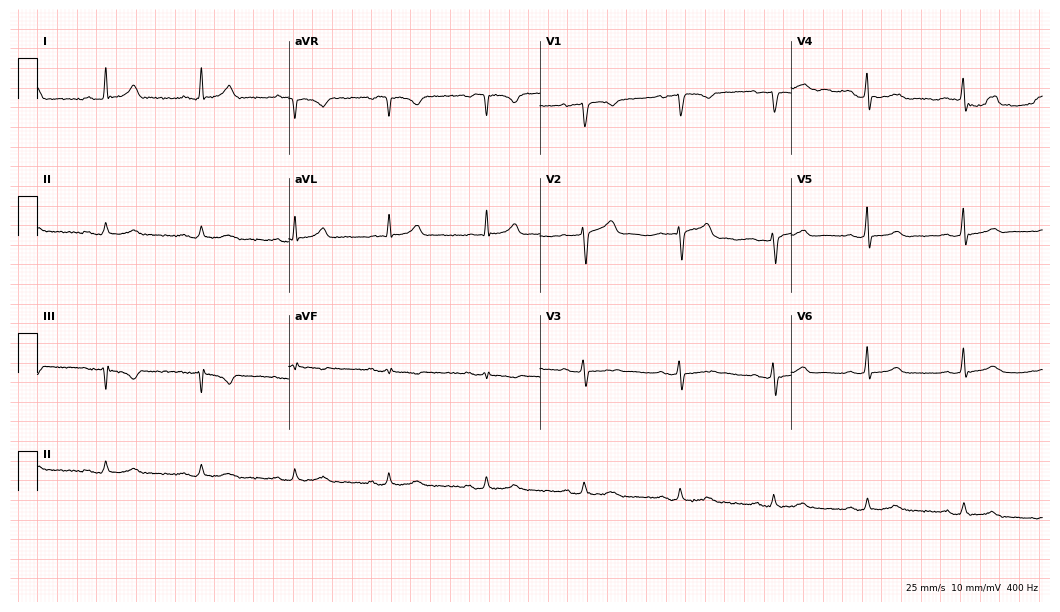
Standard 12-lead ECG recorded from a 38-year-old female (10.2-second recording at 400 Hz). None of these six findings is recorded: first-degree AV block, right bundle branch block, left bundle branch block, sinus bradycardia, atrial fibrillation, sinus tachycardia. Only these six findings were labelled.